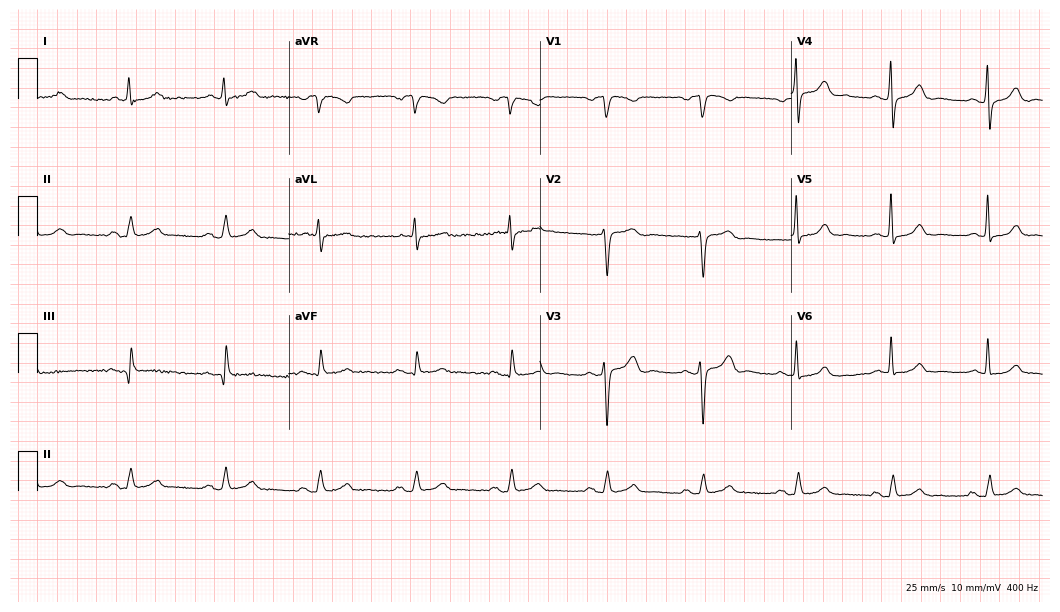
ECG (10.2-second recording at 400 Hz) — a male, 75 years old. Labelled as a normal ECG.